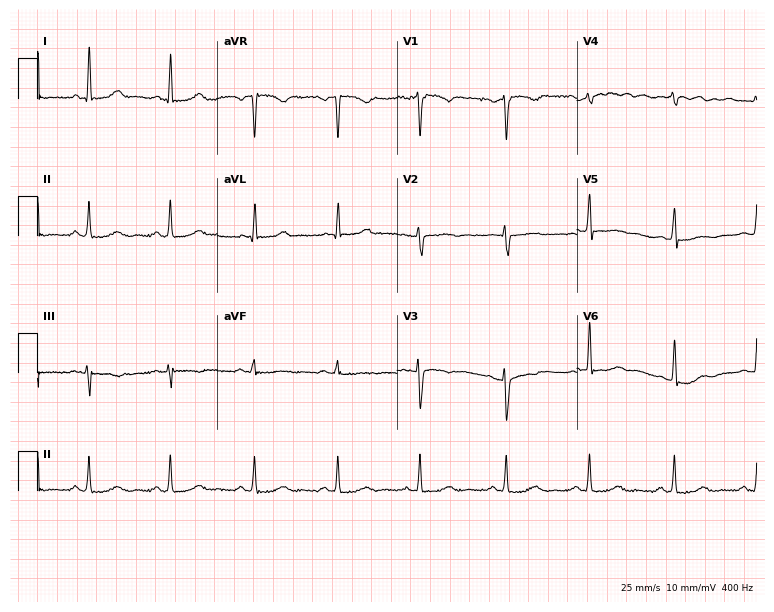
12-lead ECG from a 43-year-old female patient. No first-degree AV block, right bundle branch block (RBBB), left bundle branch block (LBBB), sinus bradycardia, atrial fibrillation (AF) or sinus tachycardia recorded for this tracing. Findings outside these six are not listed.